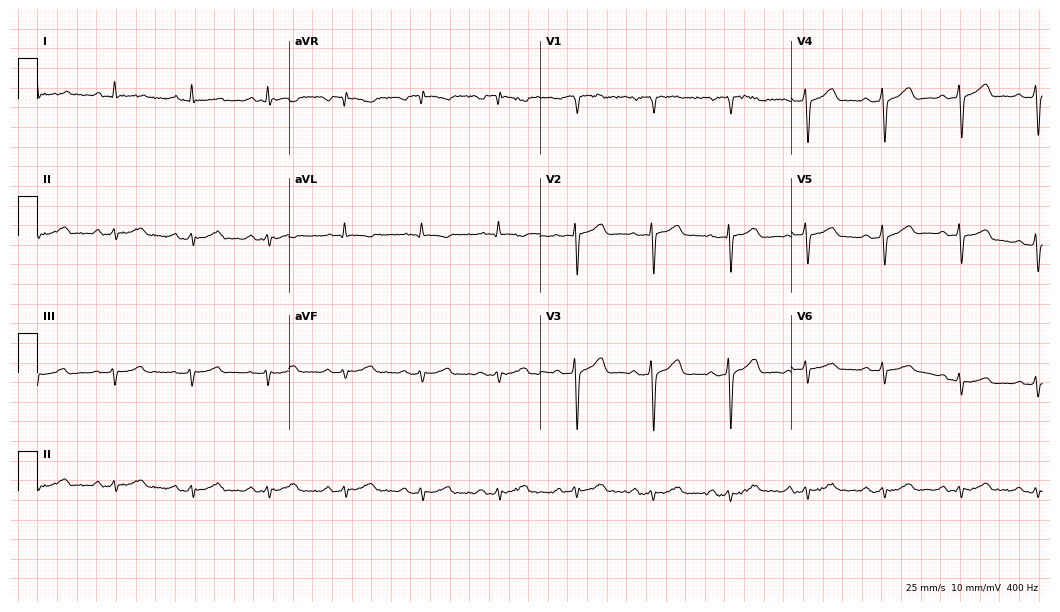
ECG — a 55-year-old male patient. Screened for six findings — first-degree AV block, right bundle branch block (RBBB), left bundle branch block (LBBB), sinus bradycardia, atrial fibrillation (AF), sinus tachycardia — none is recorded.